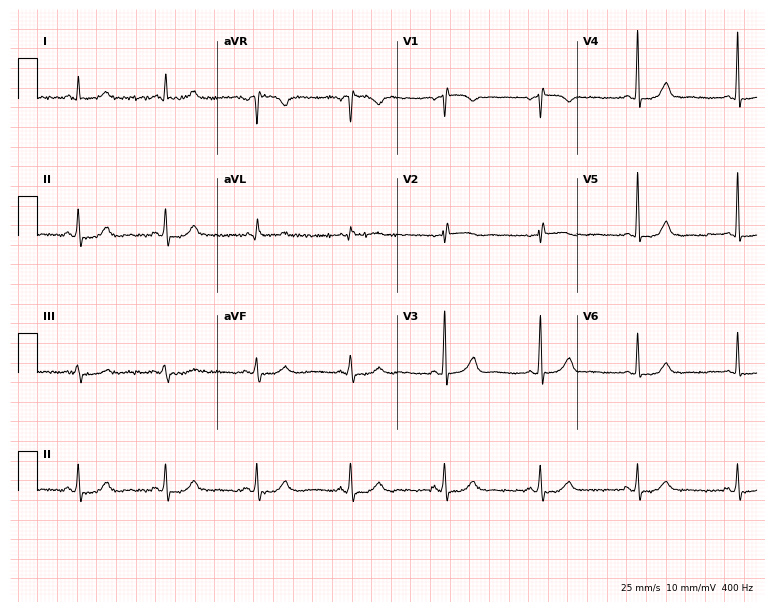
Standard 12-lead ECG recorded from a female, 58 years old. Read as a normal ECG.